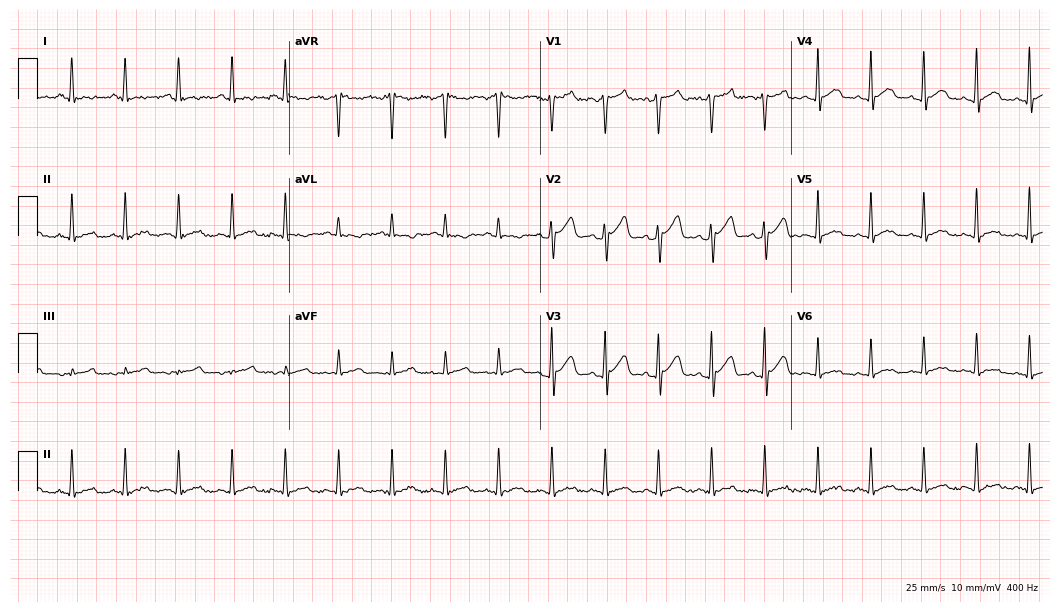
Electrocardiogram (10.2-second recording at 400 Hz), a 44-year-old male patient. Interpretation includes sinus tachycardia (a sinus rate of 100 beats per minute or more).